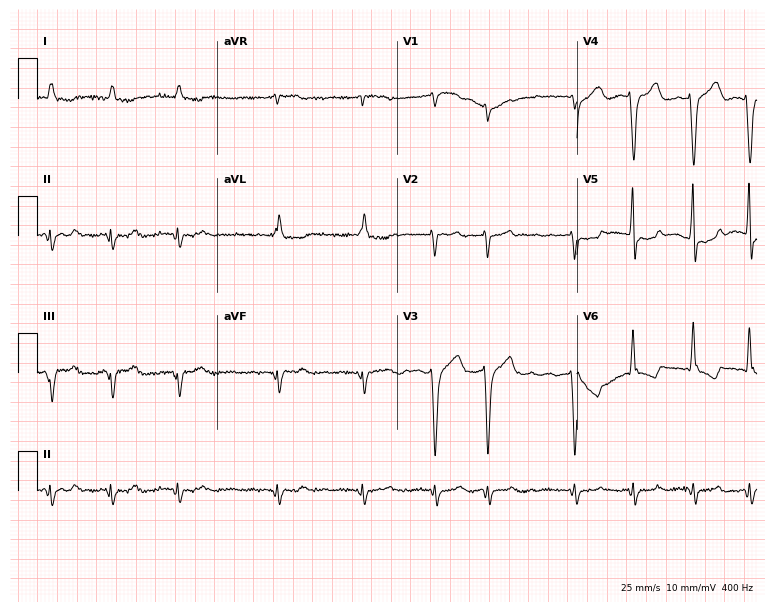
Electrocardiogram (7.3-second recording at 400 Hz), a 77-year-old man. Interpretation includes atrial fibrillation.